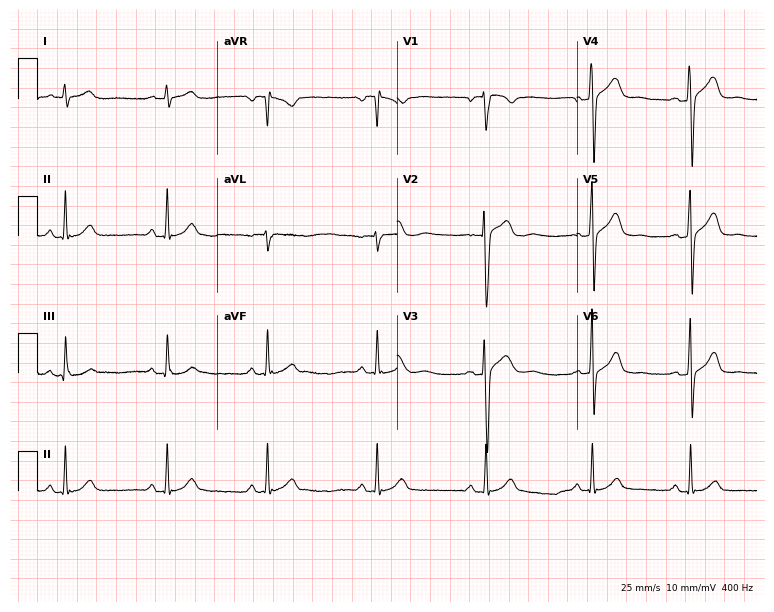
12-lead ECG from a 31-year-old male patient. No first-degree AV block, right bundle branch block, left bundle branch block, sinus bradycardia, atrial fibrillation or sinus tachycardia recorded for this tracing.